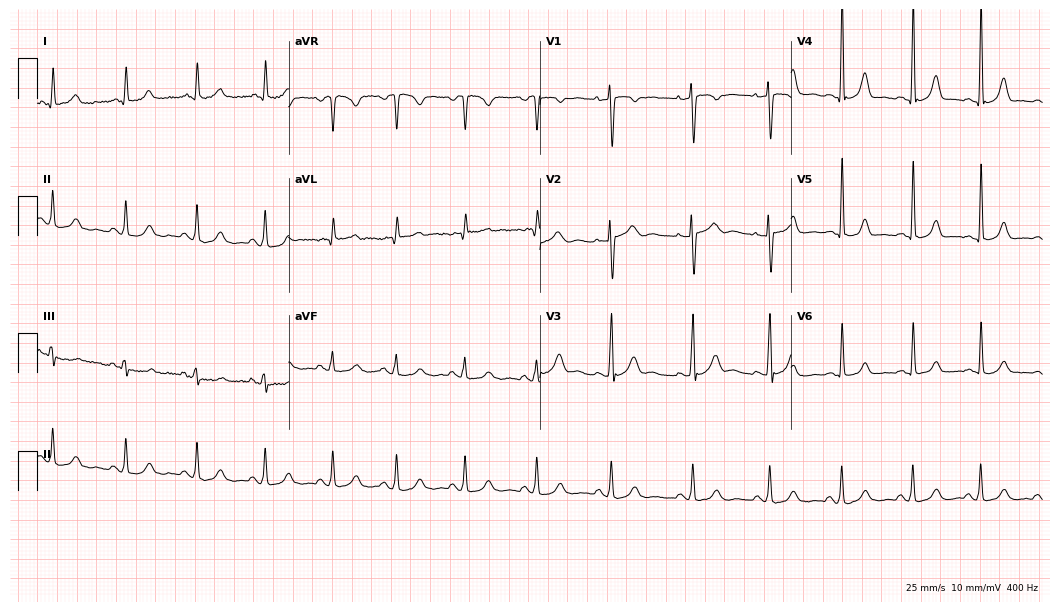
12-lead ECG (10.2-second recording at 400 Hz) from a 29-year-old female patient. Labelled as a normal ECG.